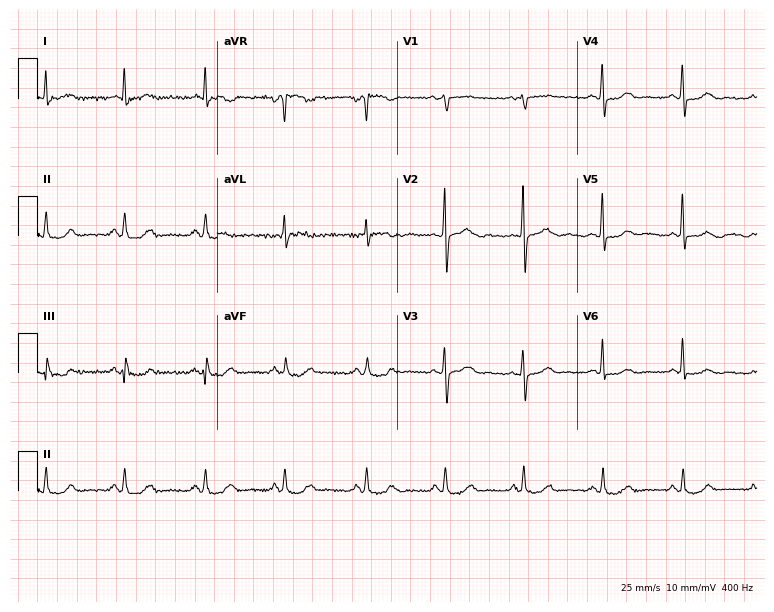
Electrocardiogram (7.3-second recording at 400 Hz), a female patient, 66 years old. Overall reading on record: normal ECG.